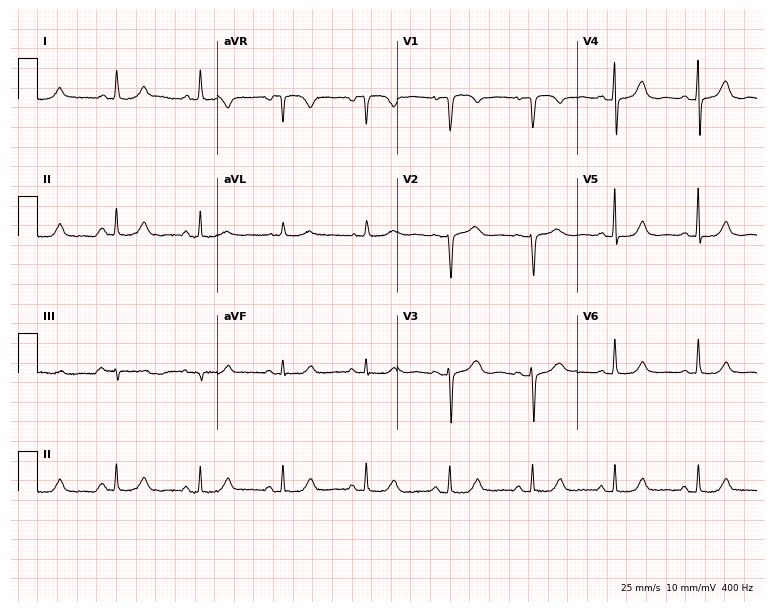
Electrocardiogram (7.3-second recording at 400 Hz), a 76-year-old woman. Overall reading on record: normal ECG.